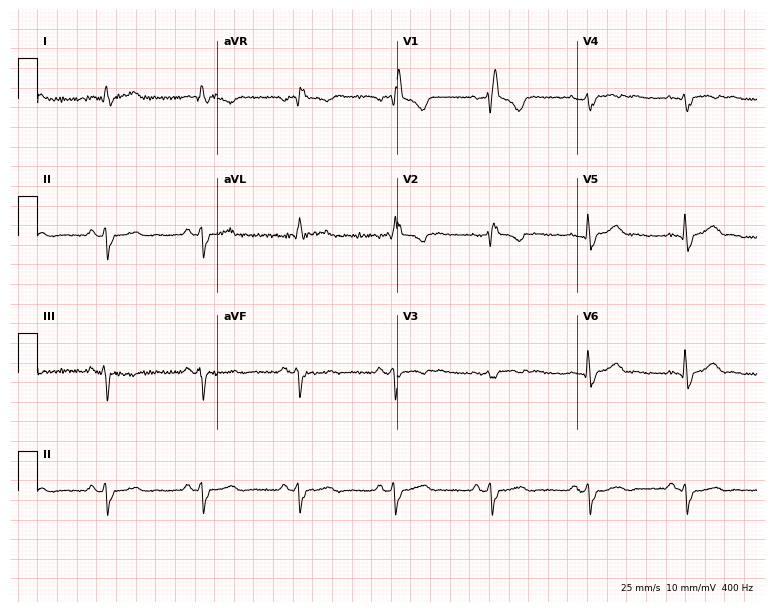
Resting 12-lead electrocardiogram. Patient: a male, 72 years old. The tracing shows right bundle branch block (RBBB).